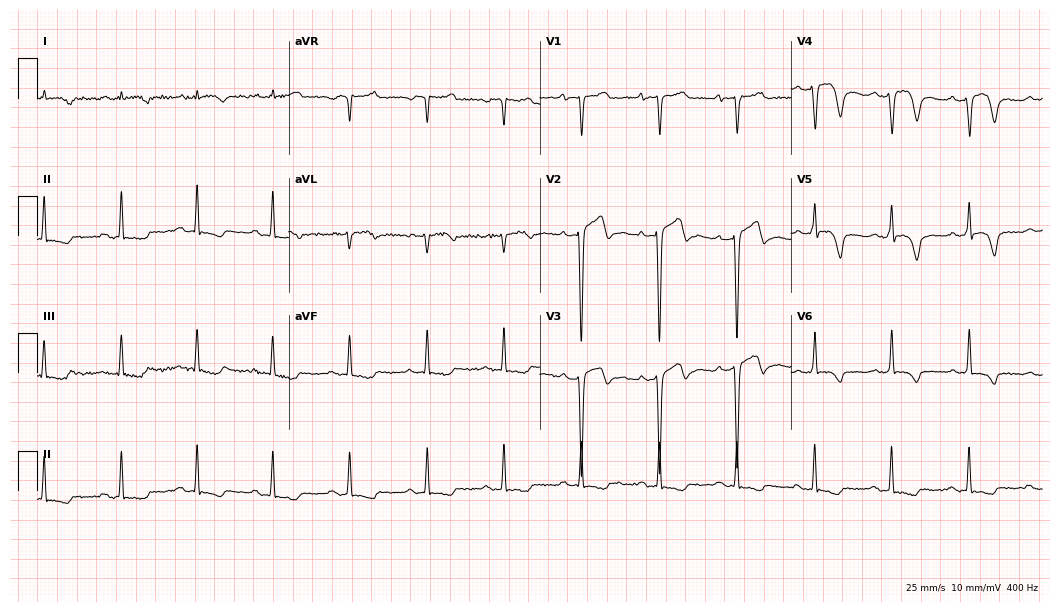
ECG (10.2-second recording at 400 Hz) — a male, 64 years old. Screened for six findings — first-degree AV block, right bundle branch block, left bundle branch block, sinus bradycardia, atrial fibrillation, sinus tachycardia — none is recorded. Only these six findings were labelled.